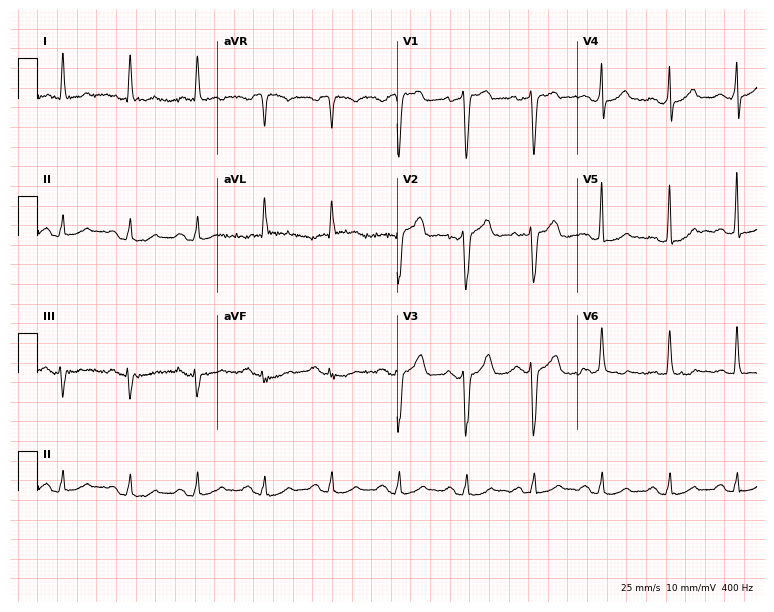
Electrocardiogram (7.3-second recording at 400 Hz), a woman, 80 years old. Of the six screened findings (first-degree AV block, right bundle branch block (RBBB), left bundle branch block (LBBB), sinus bradycardia, atrial fibrillation (AF), sinus tachycardia), none is recorded. Only these six findings were labelled.